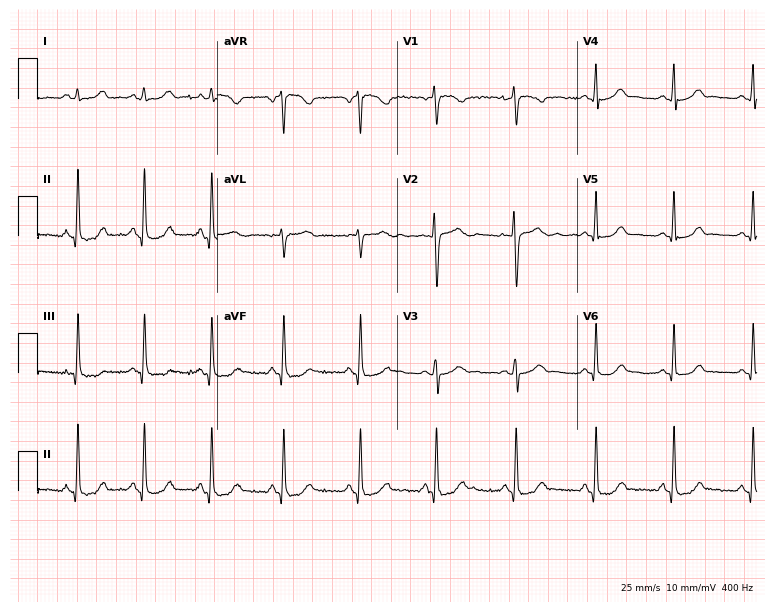
Resting 12-lead electrocardiogram (7.3-second recording at 400 Hz). Patient: a female, 27 years old. Read as a normal ECG.